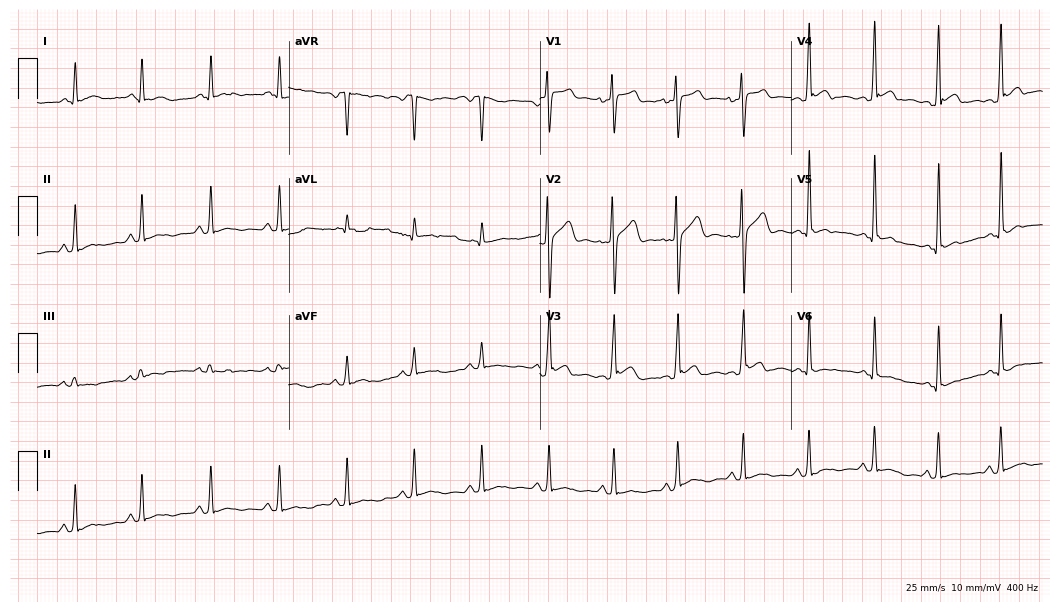
Resting 12-lead electrocardiogram (10.2-second recording at 400 Hz). Patient: a man, 32 years old. None of these six findings is recorded: first-degree AV block, right bundle branch block, left bundle branch block, sinus bradycardia, atrial fibrillation, sinus tachycardia.